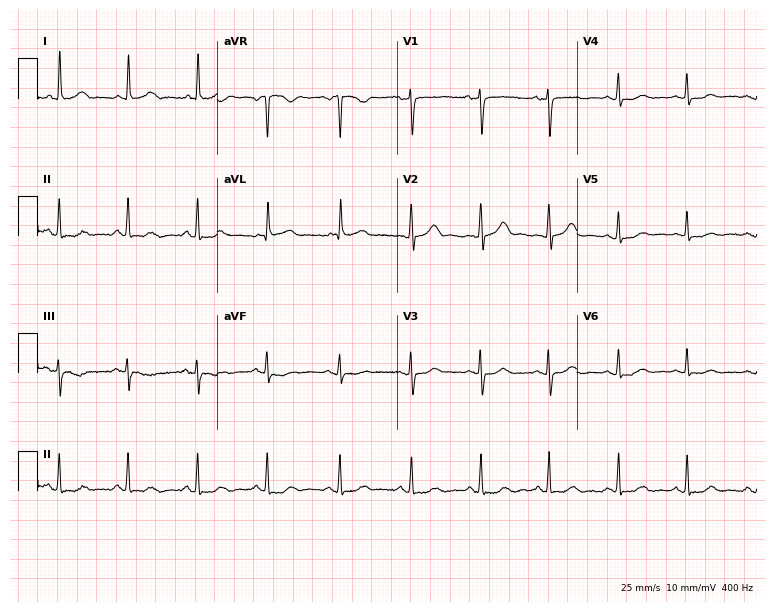
12-lead ECG from a 70-year-old female. No first-degree AV block, right bundle branch block (RBBB), left bundle branch block (LBBB), sinus bradycardia, atrial fibrillation (AF) or sinus tachycardia recorded for this tracing.